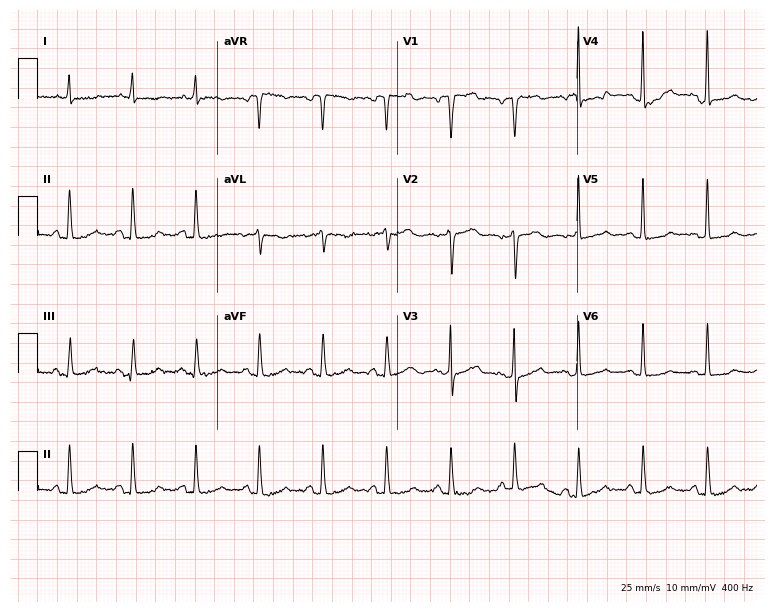
Standard 12-lead ECG recorded from a 78-year-old female patient. None of these six findings is recorded: first-degree AV block, right bundle branch block, left bundle branch block, sinus bradycardia, atrial fibrillation, sinus tachycardia. Only these six findings were labelled.